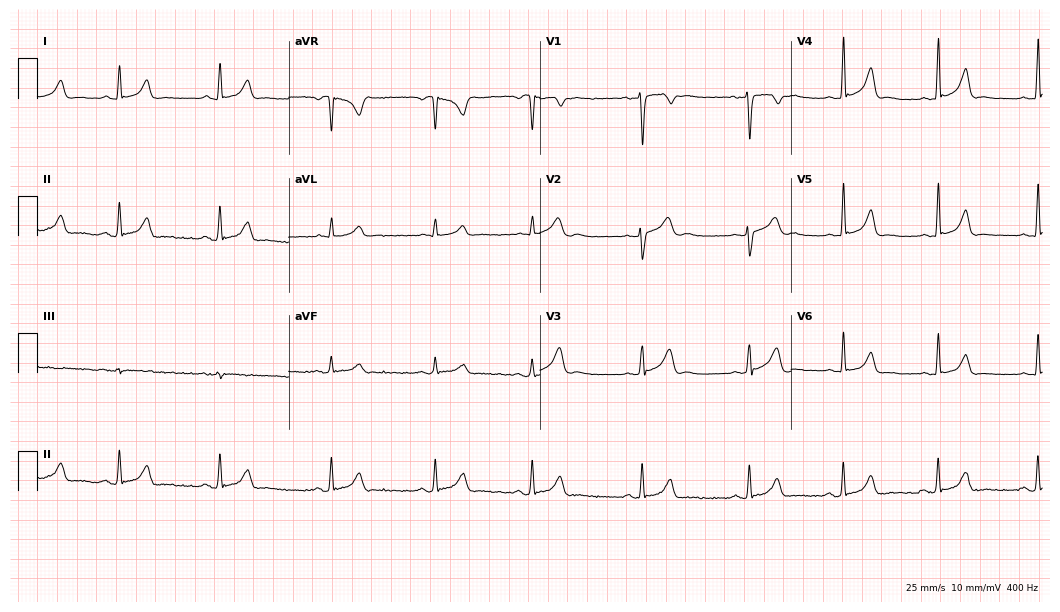
Resting 12-lead electrocardiogram (10.2-second recording at 400 Hz). Patient: a woman, 19 years old. Read as a normal ECG.